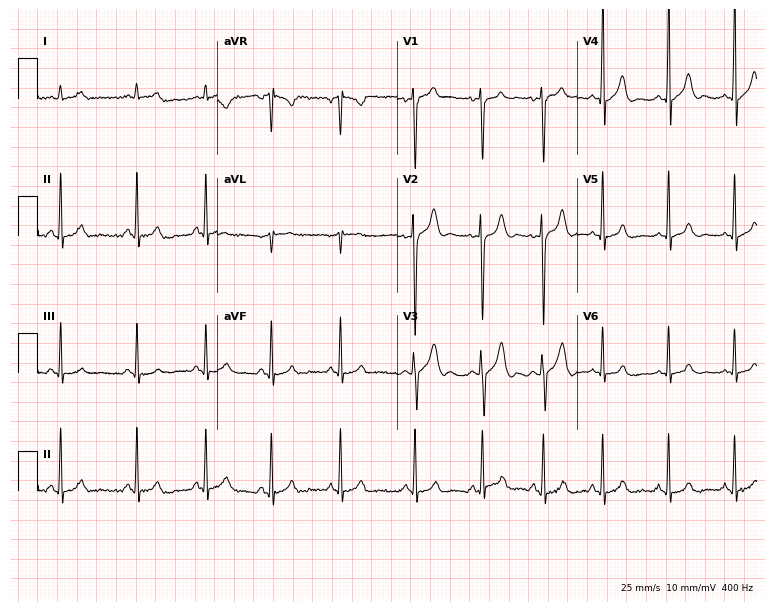
Electrocardiogram (7.3-second recording at 400 Hz), a 22-year-old man. Overall reading on record: normal ECG.